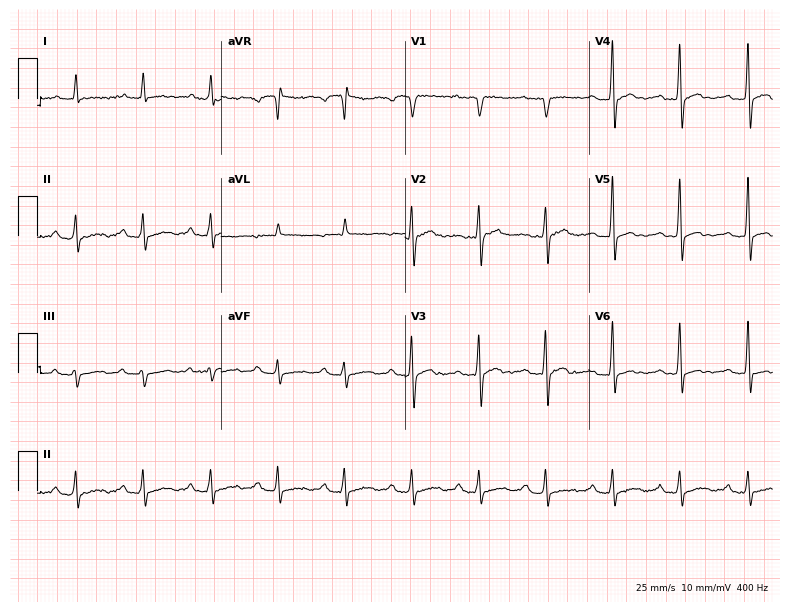
Electrocardiogram, a male patient, 63 years old. Of the six screened findings (first-degree AV block, right bundle branch block (RBBB), left bundle branch block (LBBB), sinus bradycardia, atrial fibrillation (AF), sinus tachycardia), none is recorded.